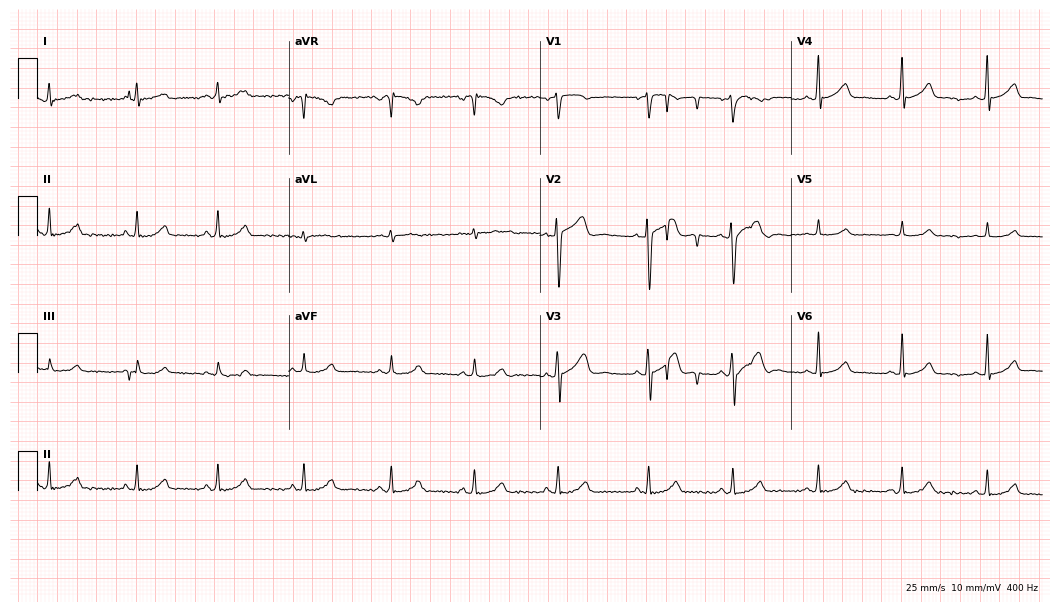
ECG — a female patient, 26 years old. Labelled as a normal ECG.